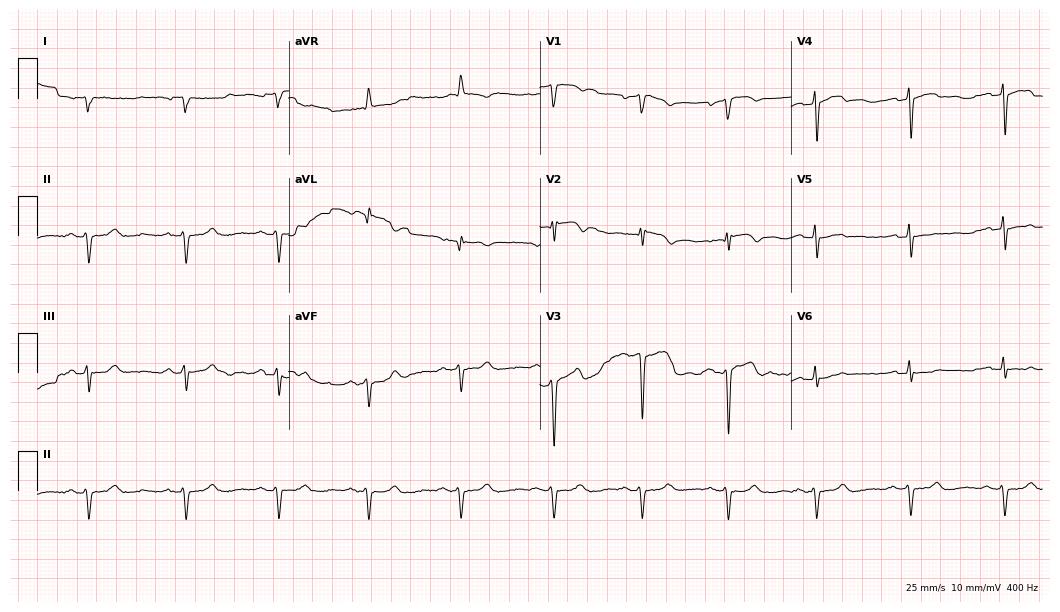
ECG (10.2-second recording at 400 Hz) — a 63-year-old male patient. Screened for six findings — first-degree AV block, right bundle branch block (RBBB), left bundle branch block (LBBB), sinus bradycardia, atrial fibrillation (AF), sinus tachycardia — none is recorded.